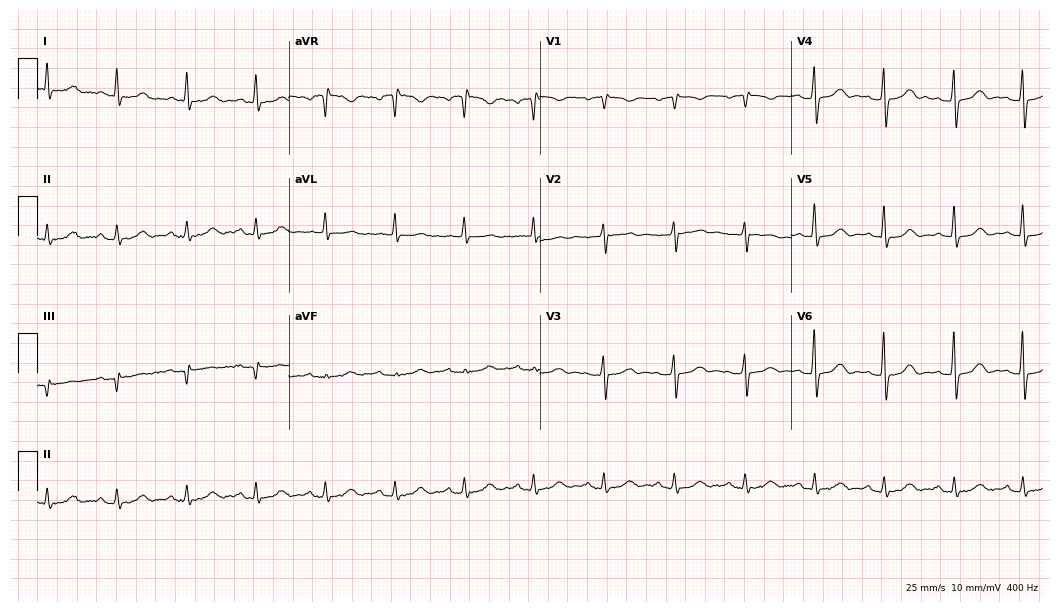
12-lead ECG from a 78-year-old man (10.2-second recording at 400 Hz). No first-degree AV block, right bundle branch block (RBBB), left bundle branch block (LBBB), sinus bradycardia, atrial fibrillation (AF) or sinus tachycardia recorded for this tracing. Other findings, if any, are not listed.